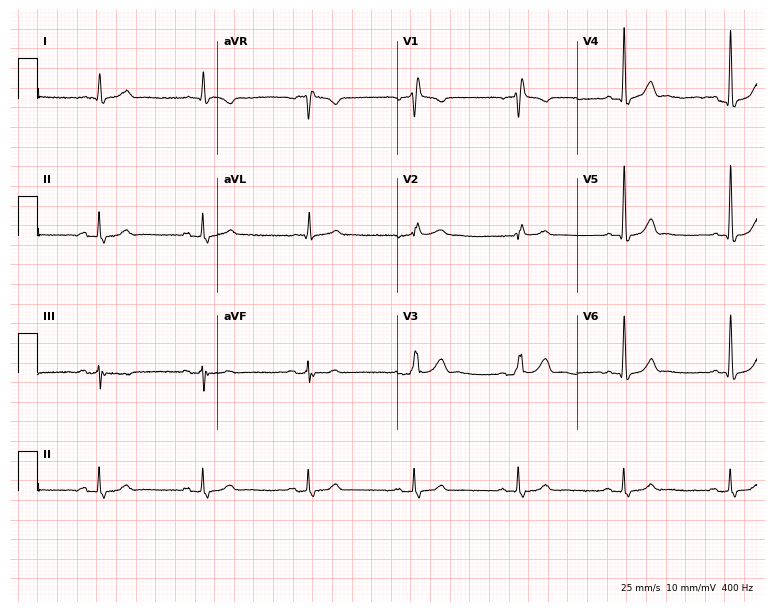
12-lead ECG from a 77-year-old male patient. Screened for six findings — first-degree AV block, right bundle branch block, left bundle branch block, sinus bradycardia, atrial fibrillation, sinus tachycardia — none is recorded.